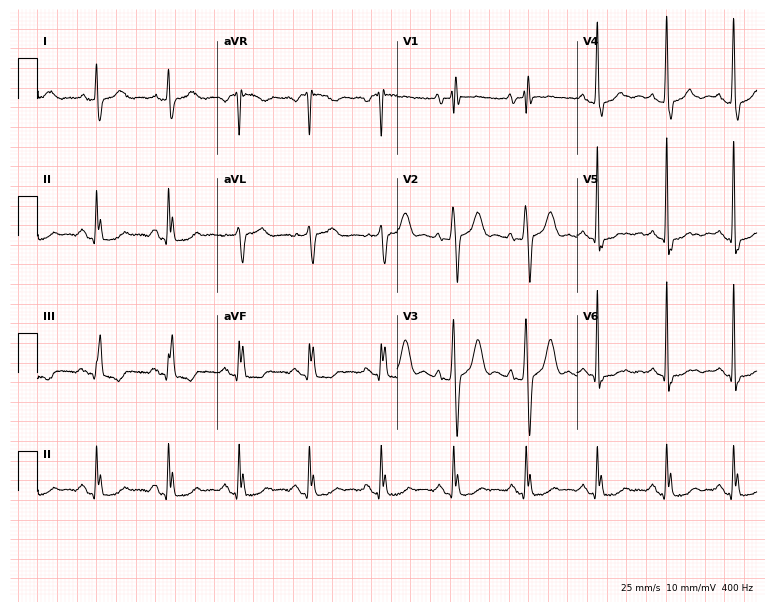
Resting 12-lead electrocardiogram. Patient: a 60-year-old woman. The tracing shows right bundle branch block (RBBB).